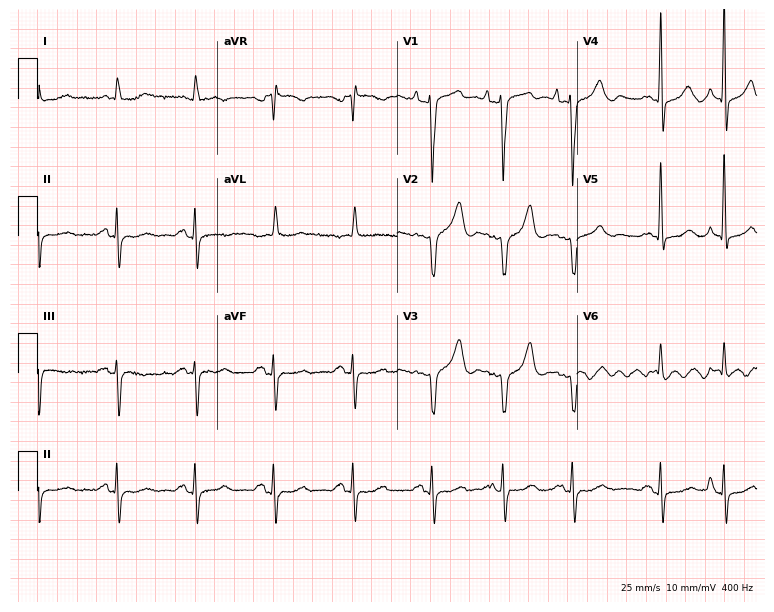
12-lead ECG from a 71-year-old male (7.3-second recording at 400 Hz). No first-degree AV block, right bundle branch block (RBBB), left bundle branch block (LBBB), sinus bradycardia, atrial fibrillation (AF) or sinus tachycardia recorded for this tracing. Findings outside these six are not listed.